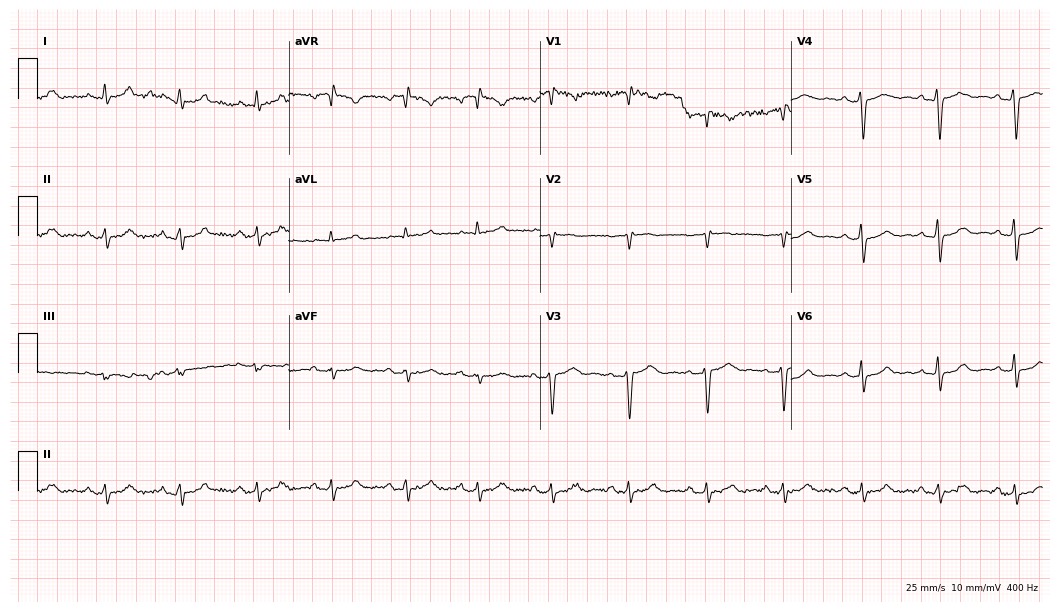
ECG (10.2-second recording at 400 Hz) — a 43-year-old female. Screened for six findings — first-degree AV block, right bundle branch block, left bundle branch block, sinus bradycardia, atrial fibrillation, sinus tachycardia — none is recorded. Only these six findings were labelled.